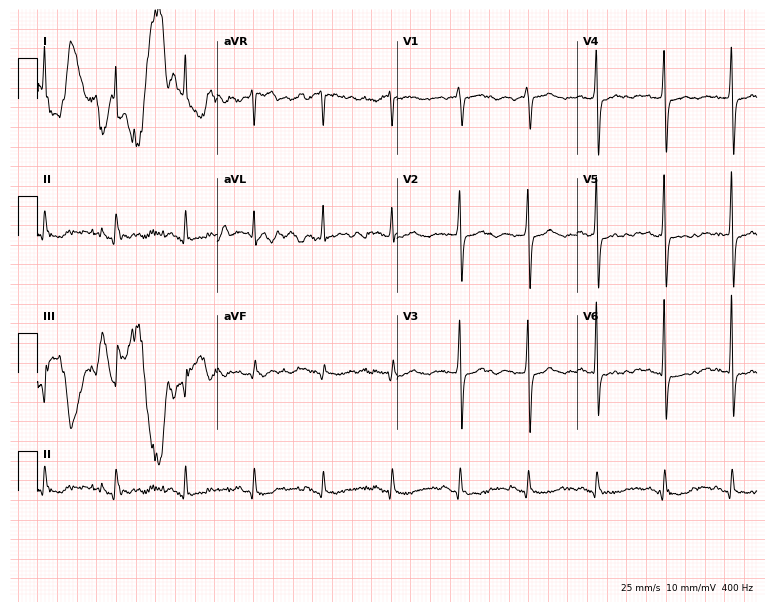
12-lead ECG from a 69-year-old female (7.3-second recording at 400 Hz). No first-degree AV block, right bundle branch block, left bundle branch block, sinus bradycardia, atrial fibrillation or sinus tachycardia recorded for this tracing.